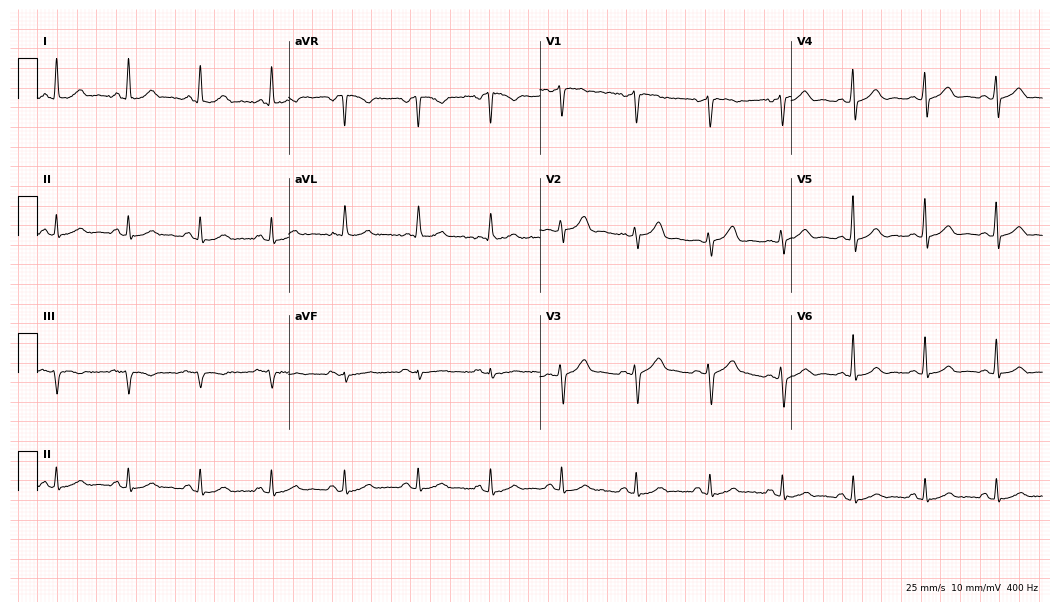
ECG (10.2-second recording at 400 Hz) — a female patient, 48 years old. Labelled as a normal ECG.